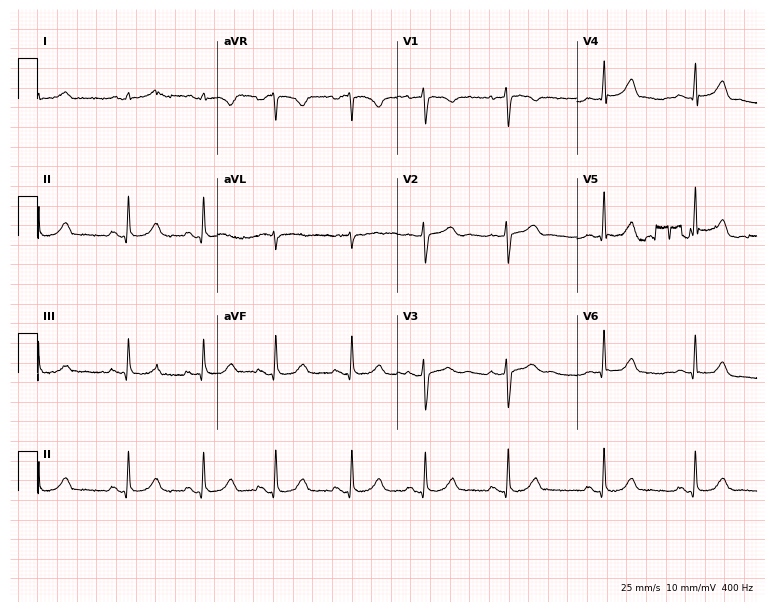
Electrocardiogram, a 29-year-old male. Overall reading on record: normal ECG.